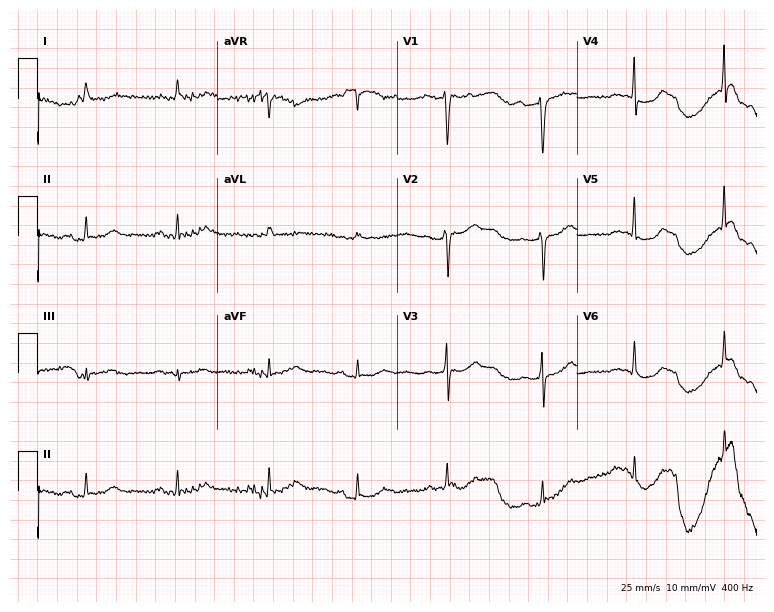
Electrocardiogram, a female, 81 years old. Overall reading on record: normal ECG.